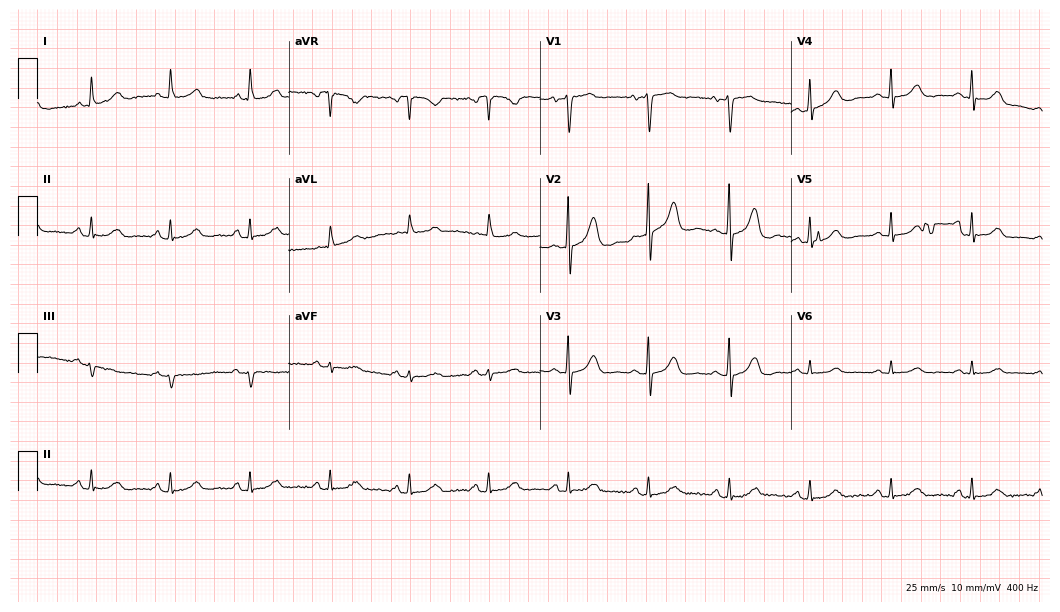
12-lead ECG (10.2-second recording at 400 Hz) from a woman, 81 years old. Labelled as a normal ECG.